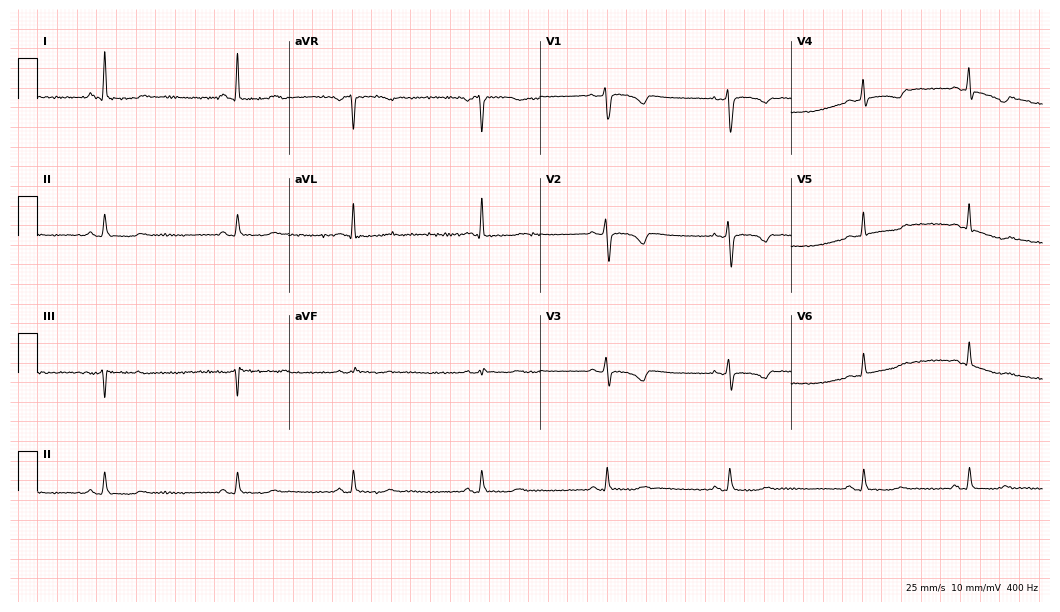
ECG (10.2-second recording at 400 Hz) — a woman, 34 years old. Findings include sinus bradycardia (a sinus rate of 50 beats per minute or less).